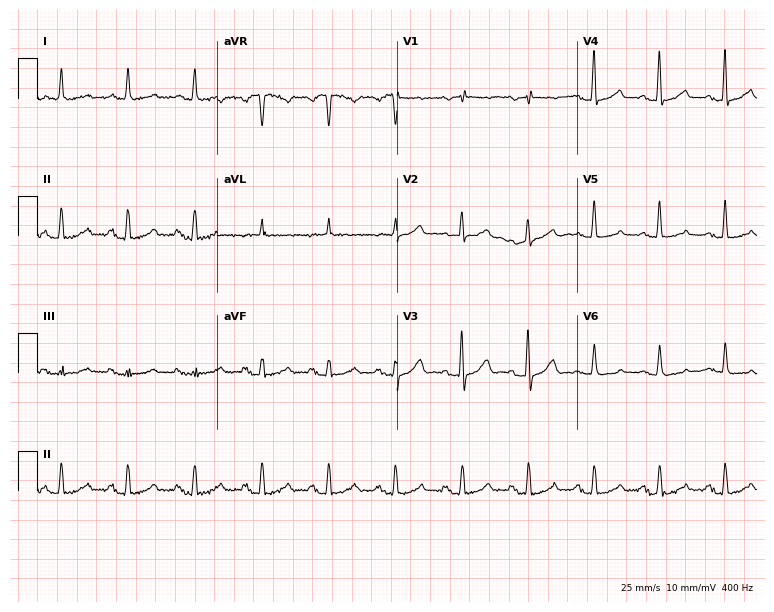
Resting 12-lead electrocardiogram (7.3-second recording at 400 Hz). Patient: a 76-year-old woman. Read as a normal ECG.